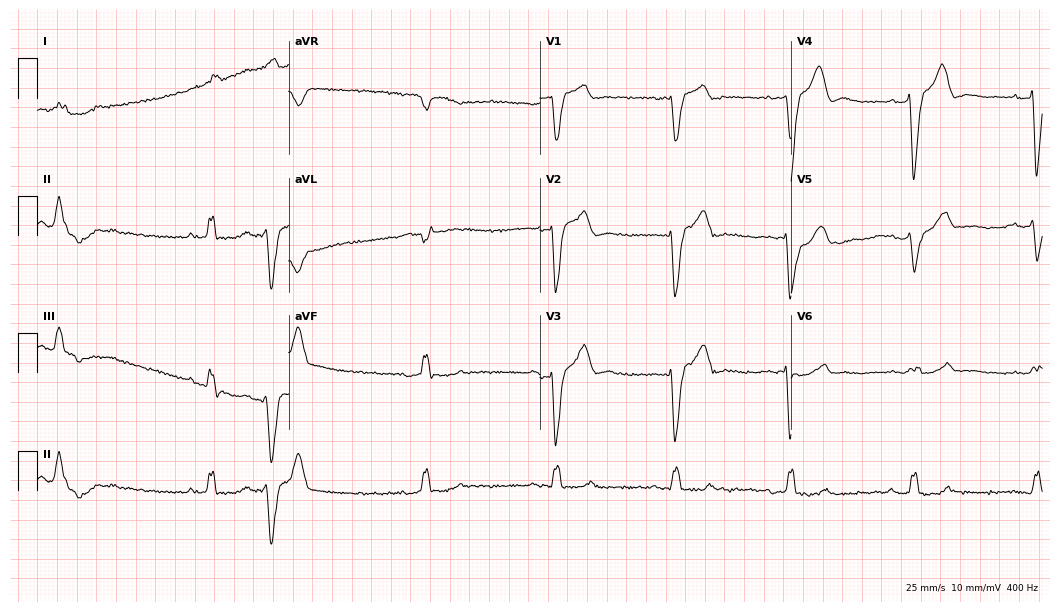
Resting 12-lead electrocardiogram. Patient: a 75-year-old male. None of these six findings is recorded: first-degree AV block, right bundle branch block, left bundle branch block, sinus bradycardia, atrial fibrillation, sinus tachycardia.